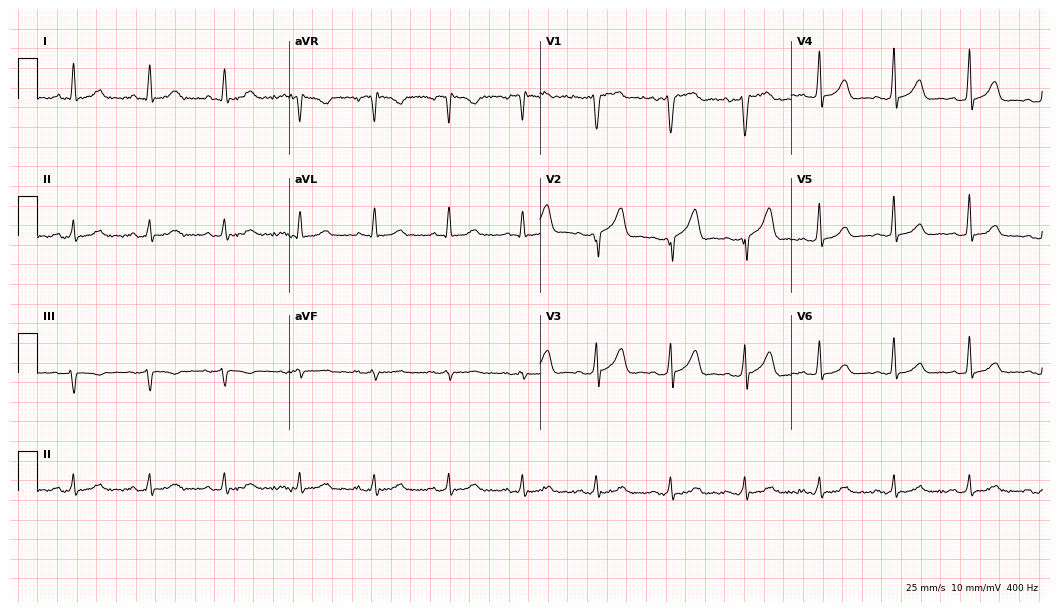
12-lead ECG (10.2-second recording at 400 Hz) from a 48-year-old man. Labelled as a normal ECG.